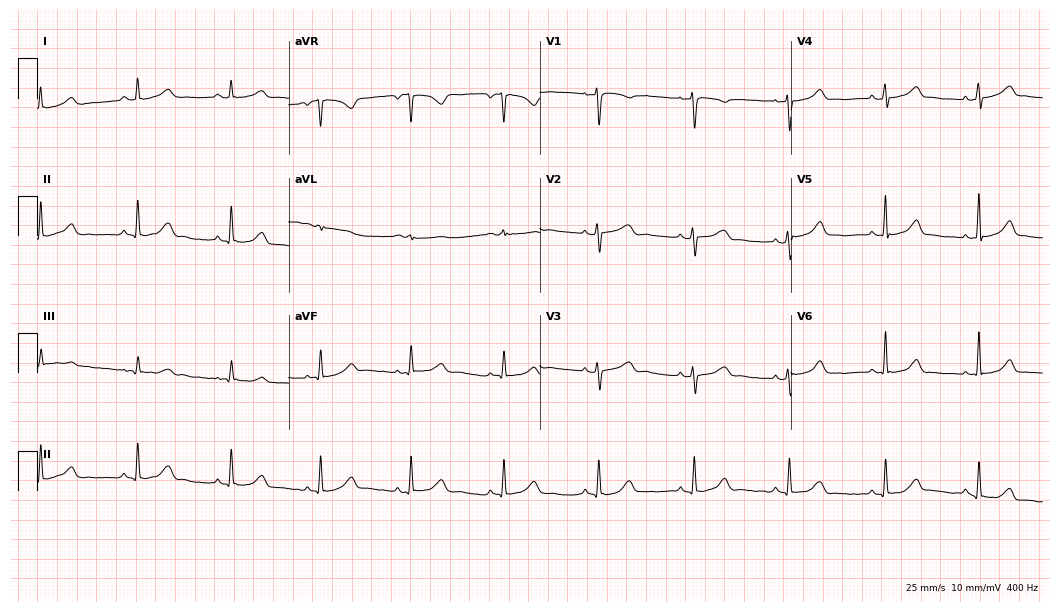
ECG — a woman, 39 years old. Labelled as a normal ECG.